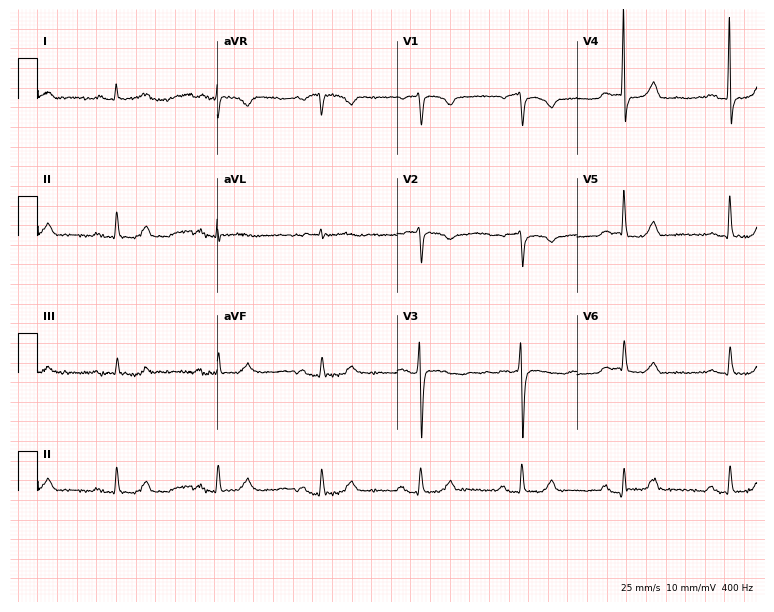
12-lead ECG from a 66-year-old female patient. Labelled as a normal ECG.